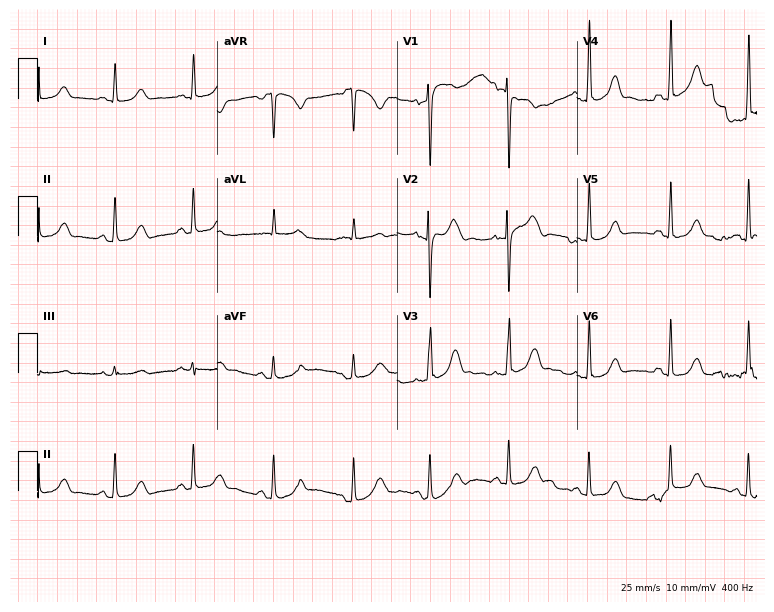
12-lead ECG from an 18-year-old woman. Labelled as a normal ECG.